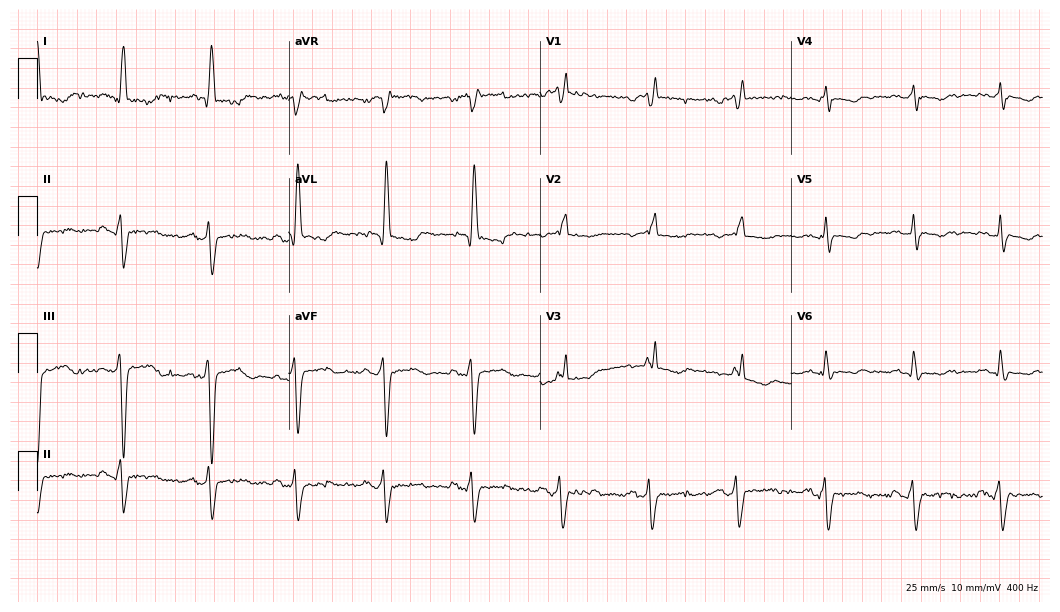
Electrocardiogram (10.2-second recording at 400 Hz), a 70-year-old female. Interpretation includes right bundle branch block.